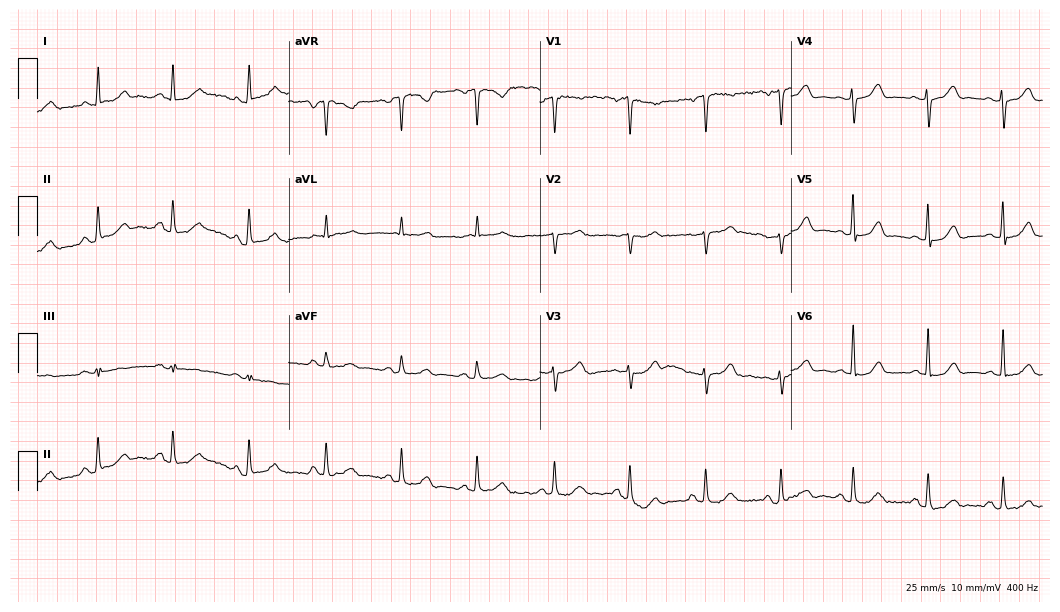
ECG (10.2-second recording at 400 Hz) — a 69-year-old female. Screened for six findings — first-degree AV block, right bundle branch block (RBBB), left bundle branch block (LBBB), sinus bradycardia, atrial fibrillation (AF), sinus tachycardia — none is recorded. Only these six findings were labelled.